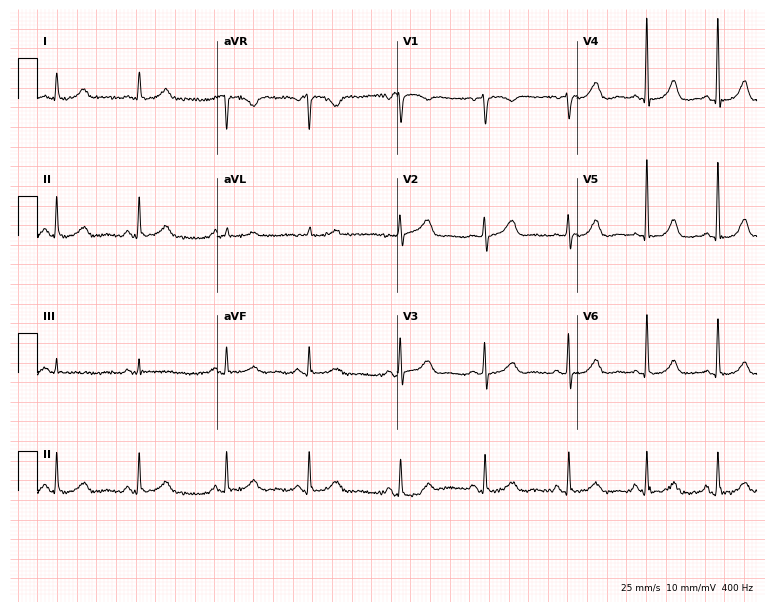
ECG (7.3-second recording at 400 Hz) — a 63-year-old female patient. Labelled as a normal ECG.